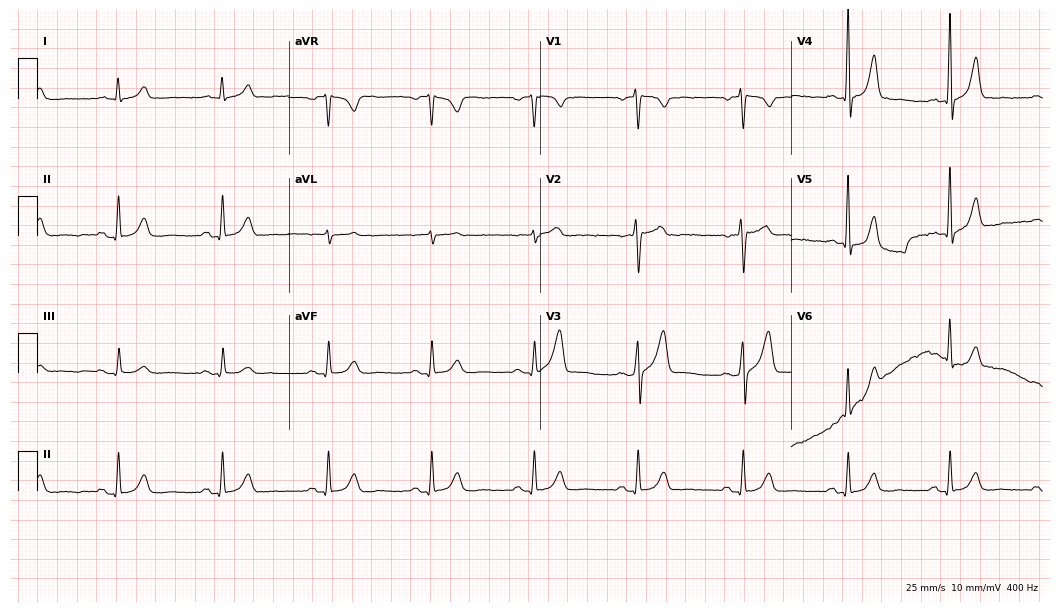
Electrocardiogram (10.2-second recording at 400 Hz), a male, 50 years old. Overall reading on record: normal ECG.